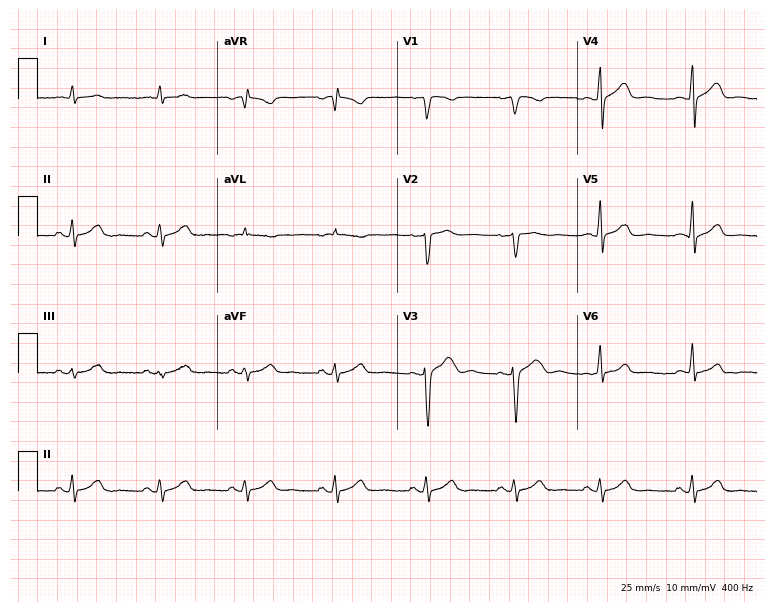
Standard 12-lead ECG recorded from a male, 47 years old. None of these six findings is recorded: first-degree AV block, right bundle branch block, left bundle branch block, sinus bradycardia, atrial fibrillation, sinus tachycardia. Only these six findings were labelled.